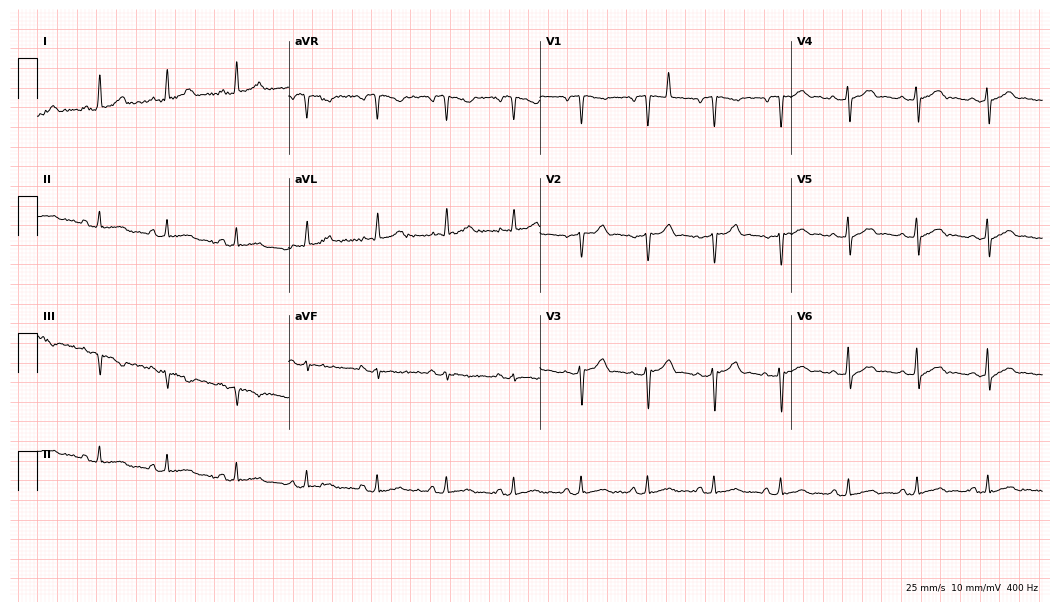
Electrocardiogram, a man, 49 years old. Overall reading on record: normal ECG.